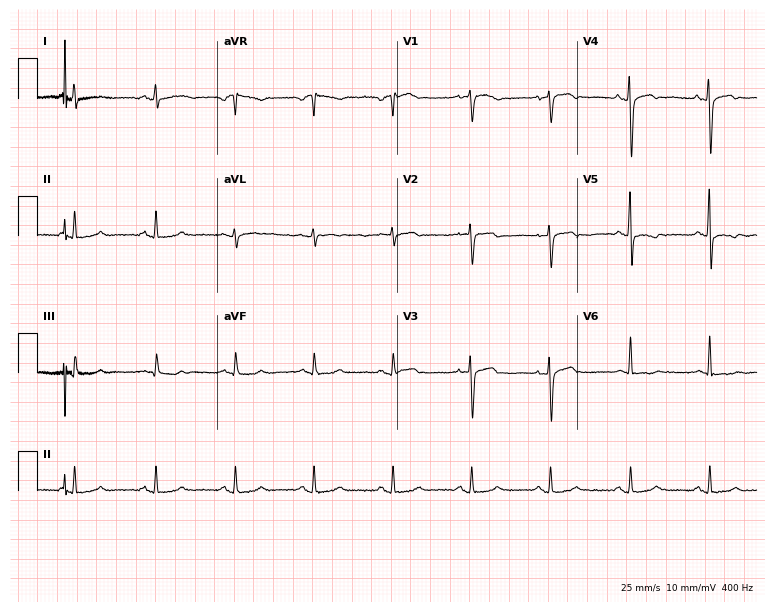
ECG — a female patient, 55 years old. Screened for six findings — first-degree AV block, right bundle branch block, left bundle branch block, sinus bradycardia, atrial fibrillation, sinus tachycardia — none is recorded.